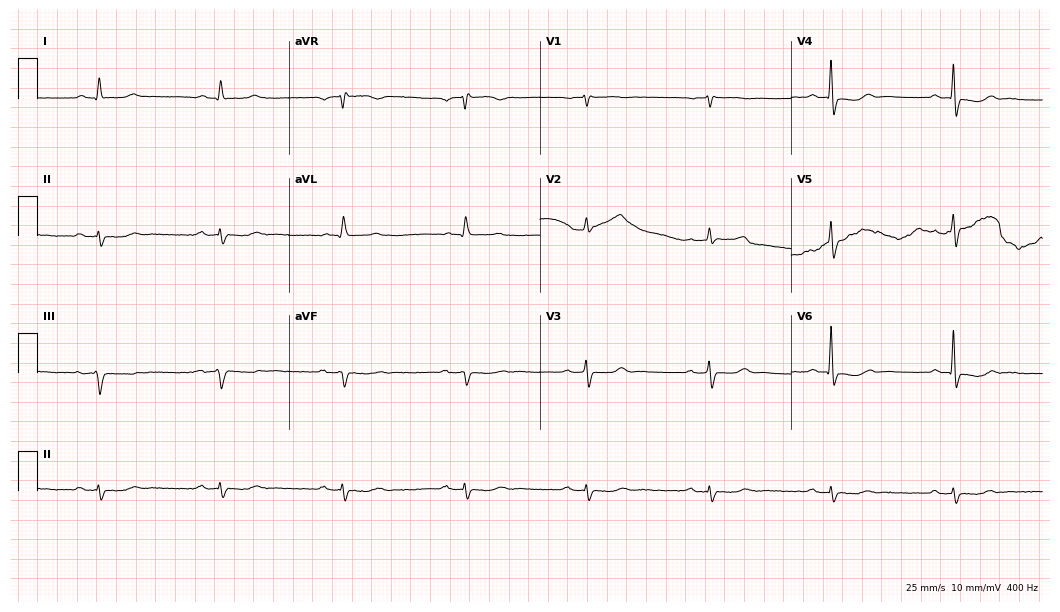
12-lead ECG from a man, 78 years old. No first-degree AV block, right bundle branch block (RBBB), left bundle branch block (LBBB), sinus bradycardia, atrial fibrillation (AF) or sinus tachycardia recorded for this tracing.